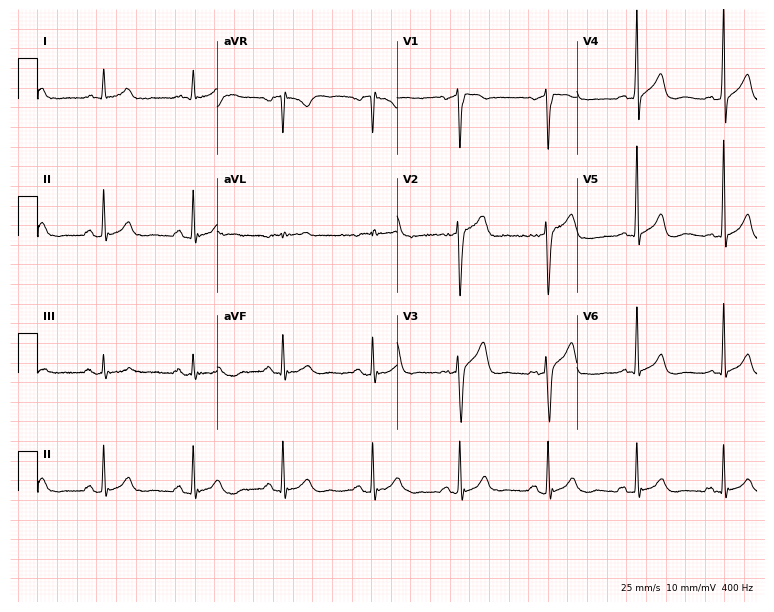
12-lead ECG from a 47-year-old man. No first-degree AV block, right bundle branch block, left bundle branch block, sinus bradycardia, atrial fibrillation or sinus tachycardia recorded for this tracing. Other findings, if any, are not listed.